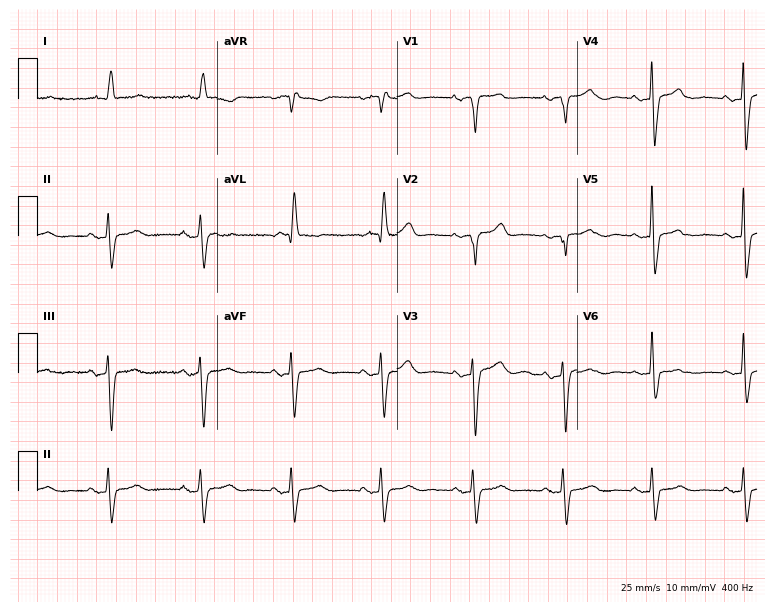
Electrocardiogram, a female patient, 85 years old. Of the six screened findings (first-degree AV block, right bundle branch block, left bundle branch block, sinus bradycardia, atrial fibrillation, sinus tachycardia), none is recorded. Findings outside these six are not listed.